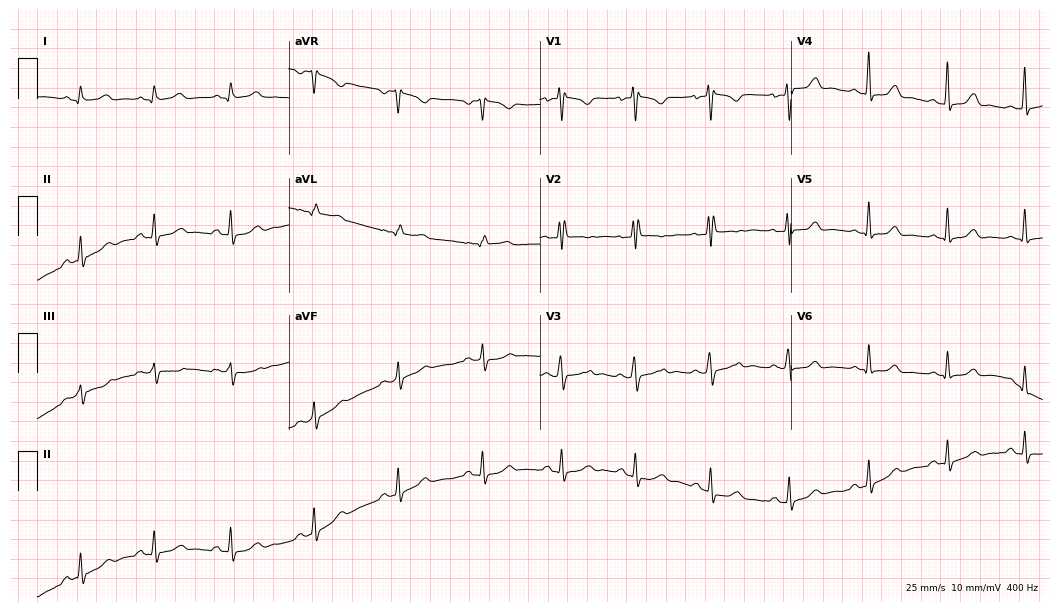
12-lead ECG from a woman, 30 years old. No first-degree AV block, right bundle branch block (RBBB), left bundle branch block (LBBB), sinus bradycardia, atrial fibrillation (AF) or sinus tachycardia recorded for this tracing.